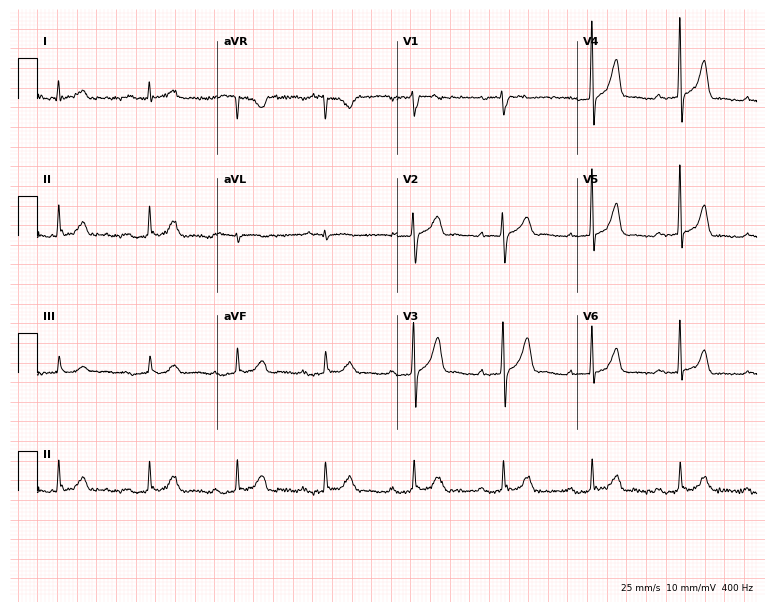
Resting 12-lead electrocardiogram (7.3-second recording at 400 Hz). Patient: a male, 58 years old. None of these six findings is recorded: first-degree AV block, right bundle branch block (RBBB), left bundle branch block (LBBB), sinus bradycardia, atrial fibrillation (AF), sinus tachycardia. Findings outside these six are not listed.